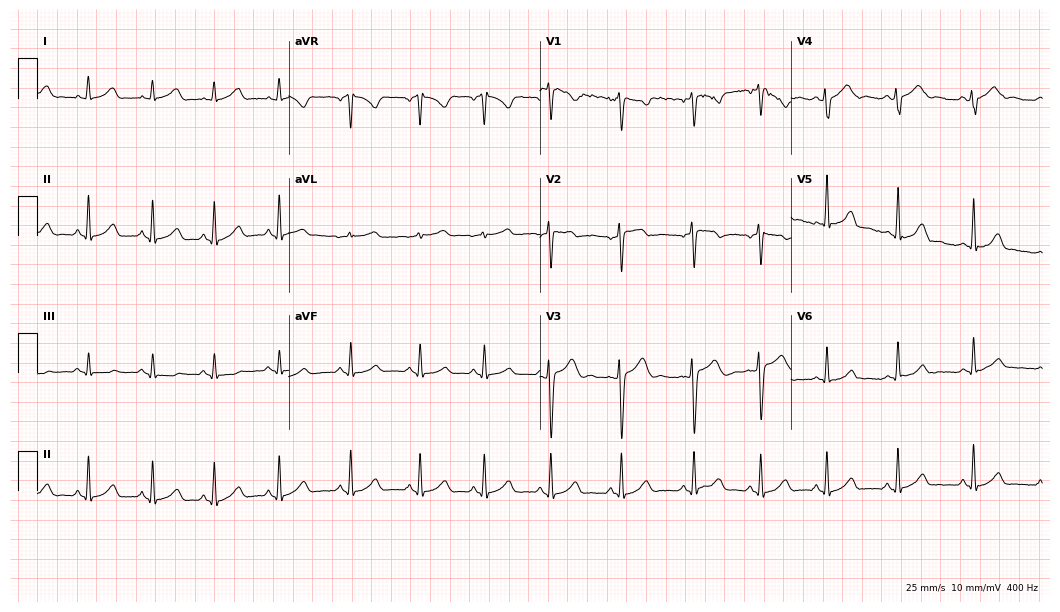
12-lead ECG from a female patient, 26 years old. Recorded interpretation: within normal limits.